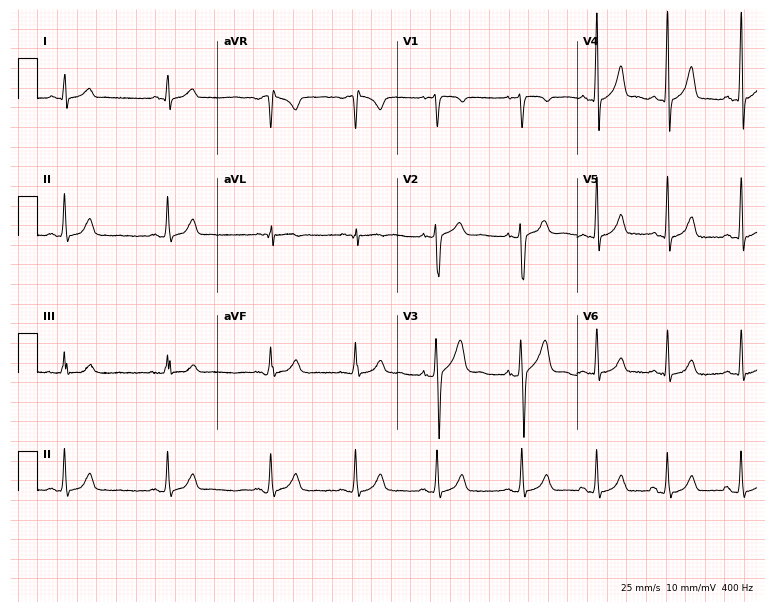
Electrocardiogram, a male patient, 17 years old. Of the six screened findings (first-degree AV block, right bundle branch block (RBBB), left bundle branch block (LBBB), sinus bradycardia, atrial fibrillation (AF), sinus tachycardia), none is recorded.